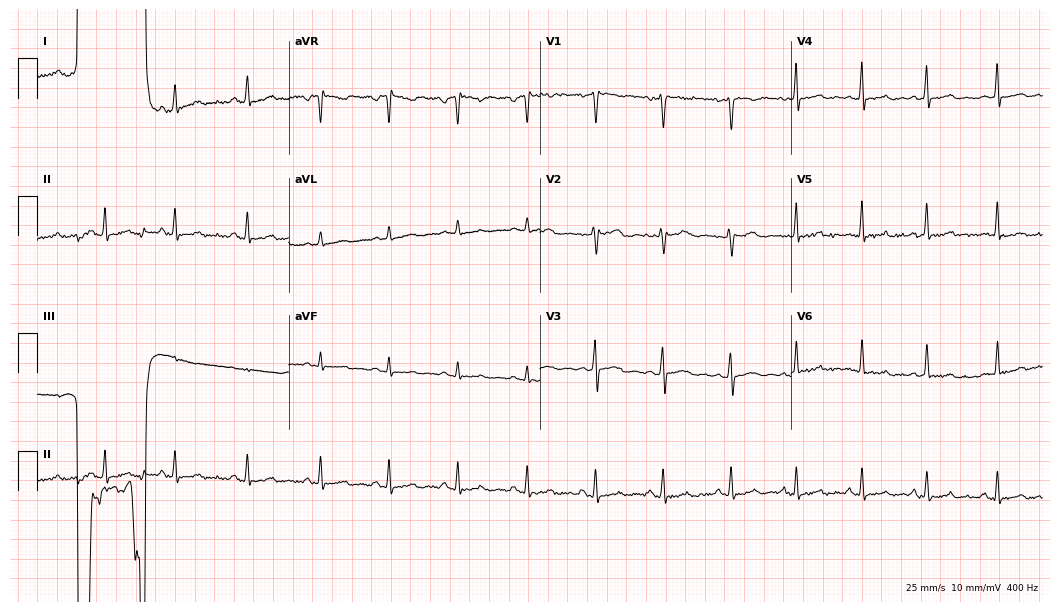
ECG (10.2-second recording at 400 Hz) — a 26-year-old female patient. Screened for six findings — first-degree AV block, right bundle branch block, left bundle branch block, sinus bradycardia, atrial fibrillation, sinus tachycardia — none is recorded. Only these six findings were labelled.